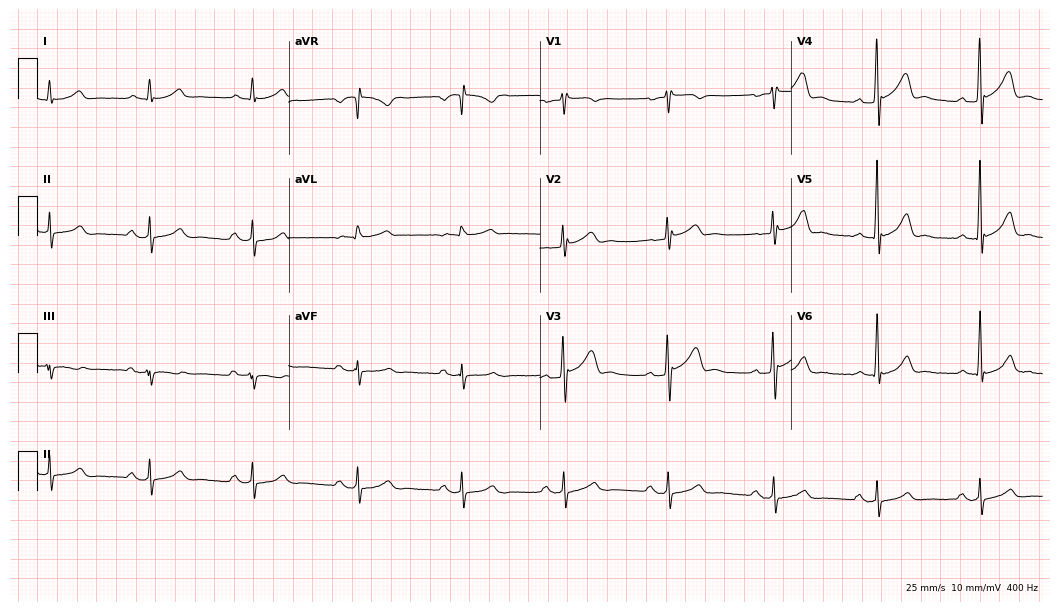
Electrocardiogram (10.2-second recording at 400 Hz), a male, 57 years old. Of the six screened findings (first-degree AV block, right bundle branch block (RBBB), left bundle branch block (LBBB), sinus bradycardia, atrial fibrillation (AF), sinus tachycardia), none is recorded. Other findings, if any, are not listed.